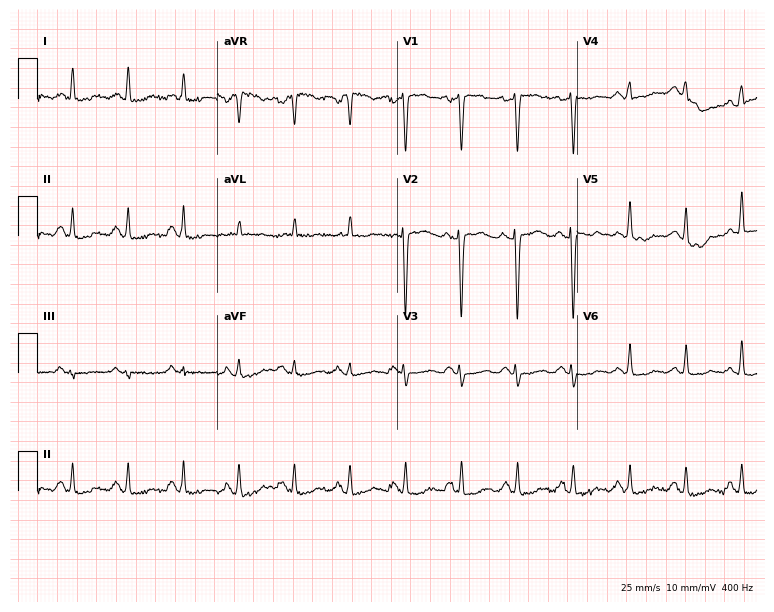
12-lead ECG from a 50-year-old woman. No first-degree AV block, right bundle branch block (RBBB), left bundle branch block (LBBB), sinus bradycardia, atrial fibrillation (AF) or sinus tachycardia recorded for this tracing. Only these six findings were labelled.